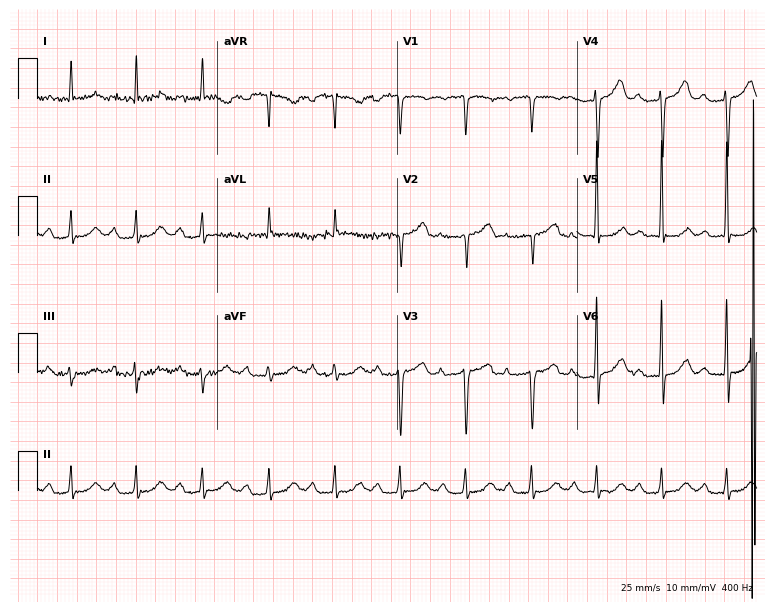
Standard 12-lead ECG recorded from an 85-year-old female. The tracing shows first-degree AV block.